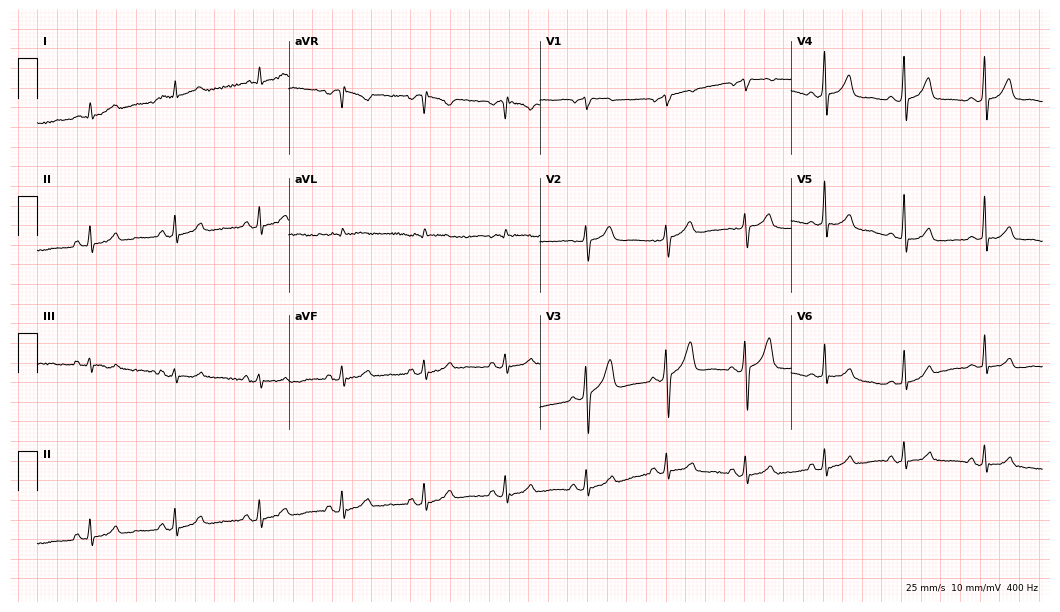
ECG (10.2-second recording at 400 Hz) — a male patient, 70 years old. Labelled as a normal ECG.